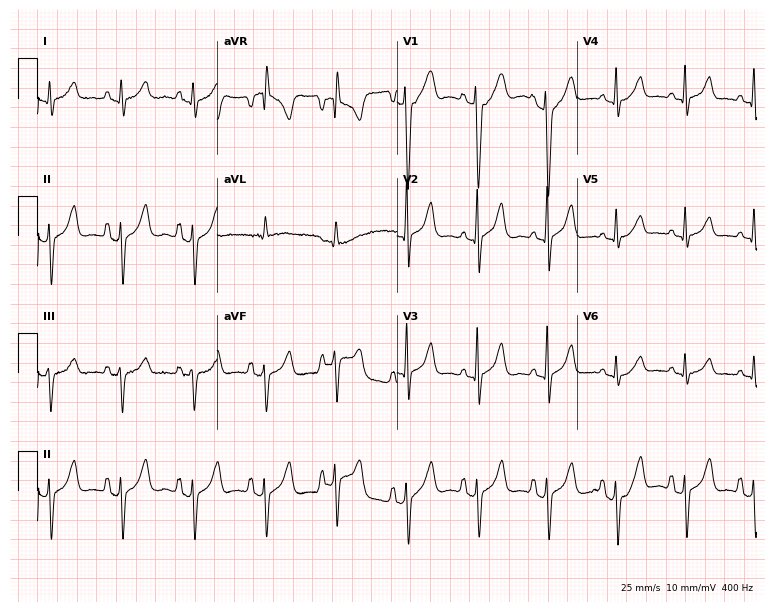
Electrocardiogram (7.3-second recording at 400 Hz), a 38-year-old male patient. Of the six screened findings (first-degree AV block, right bundle branch block (RBBB), left bundle branch block (LBBB), sinus bradycardia, atrial fibrillation (AF), sinus tachycardia), none is recorded.